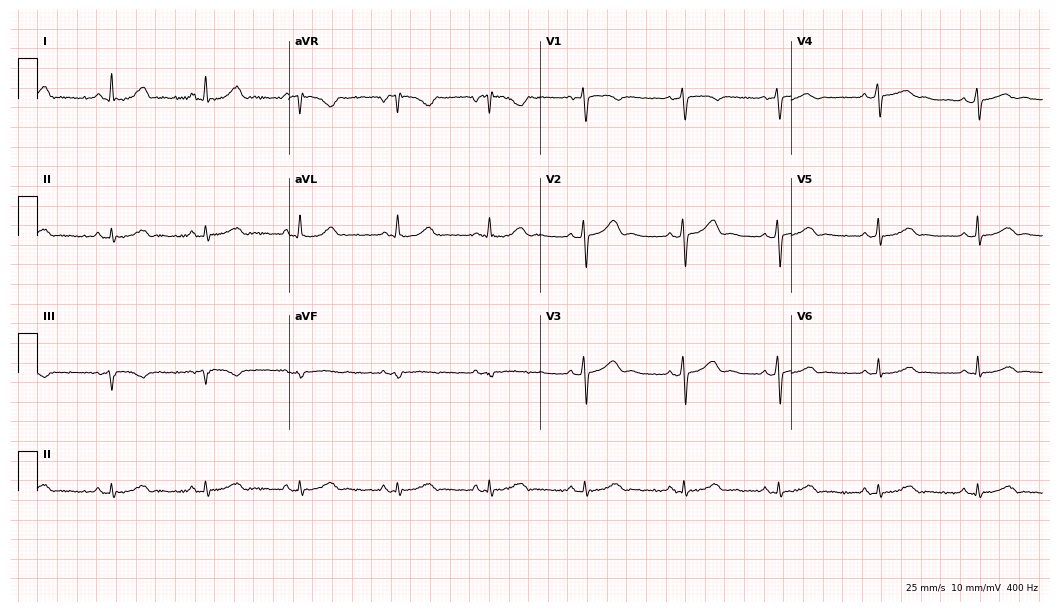
Resting 12-lead electrocardiogram (10.2-second recording at 400 Hz). Patient: a 42-year-old woman. Read as a normal ECG.